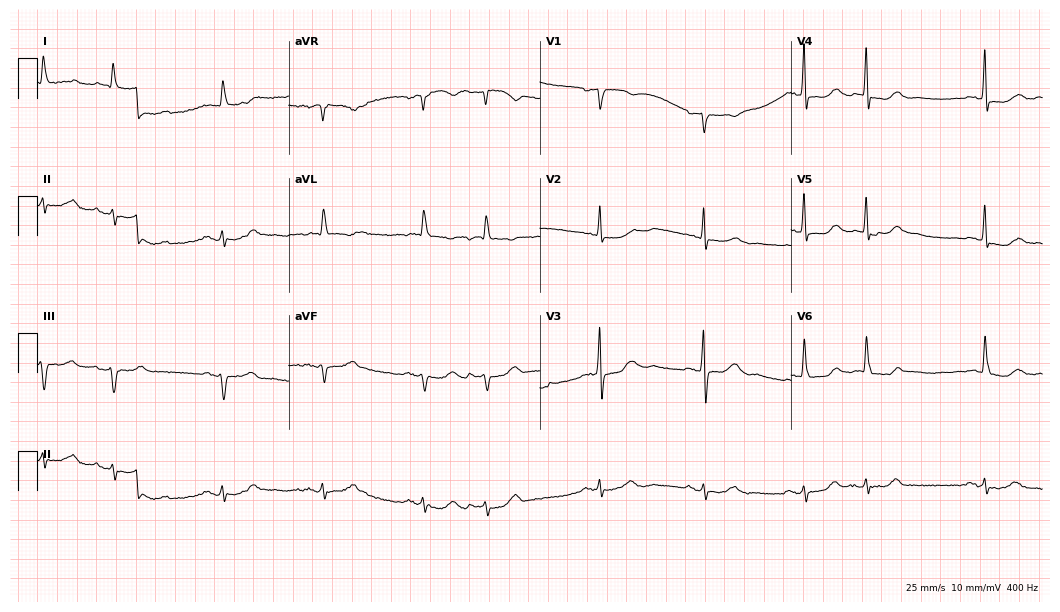
Standard 12-lead ECG recorded from a man, 85 years old (10.2-second recording at 400 Hz). Read as a normal ECG.